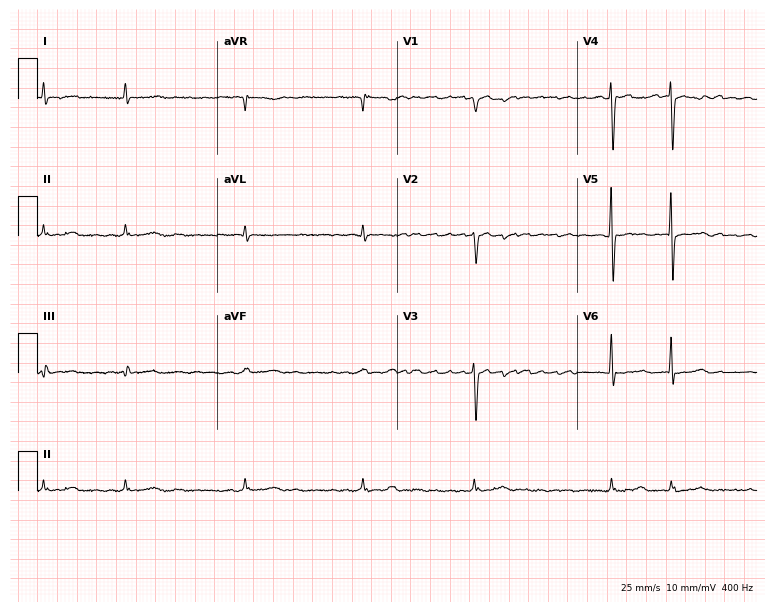
12-lead ECG from a female patient, 77 years old (7.3-second recording at 400 Hz). Shows atrial fibrillation (AF).